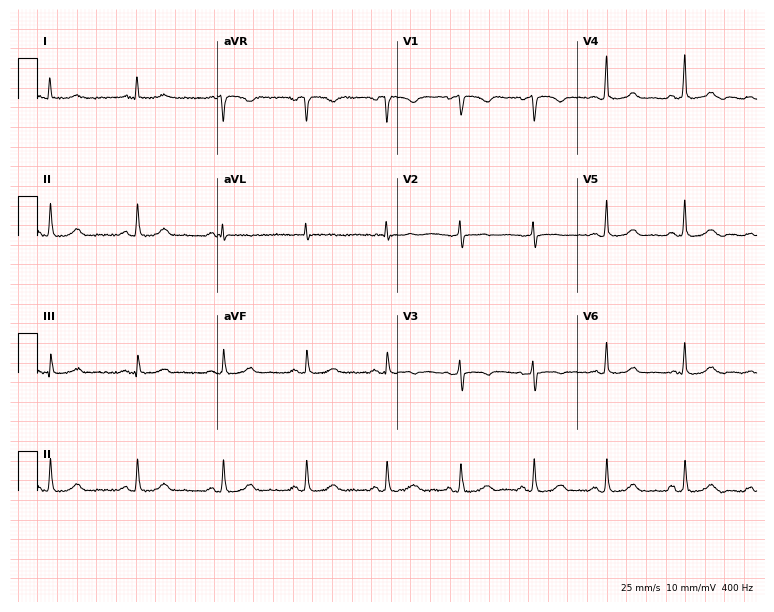
Standard 12-lead ECG recorded from a male patient, 44 years old (7.3-second recording at 400 Hz). Read as a normal ECG.